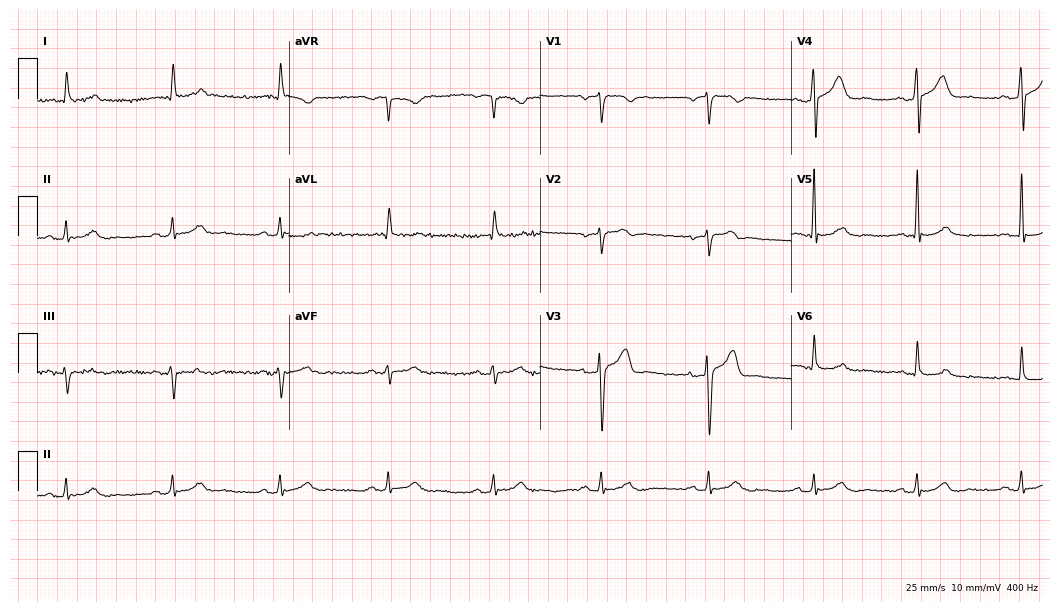
Standard 12-lead ECG recorded from a 56-year-old man (10.2-second recording at 400 Hz). Read as a normal ECG.